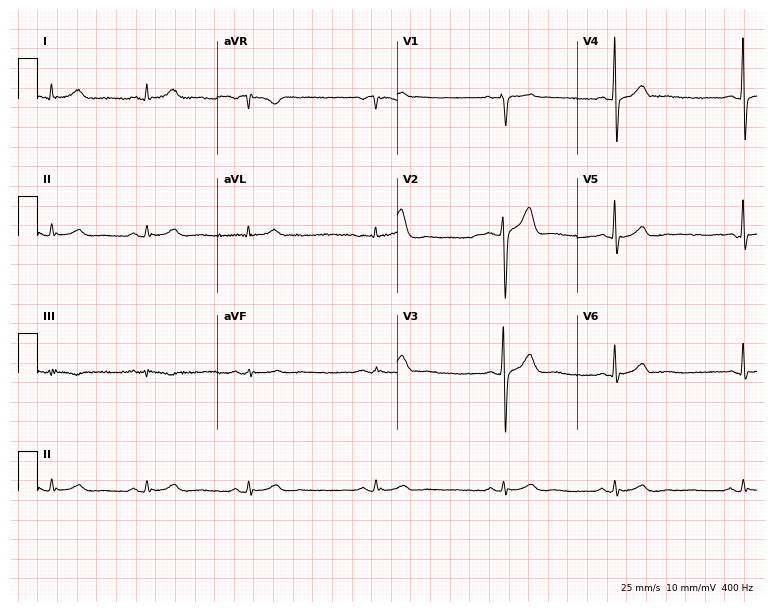
12-lead ECG from a male, 48 years old. Recorded interpretation: within normal limits.